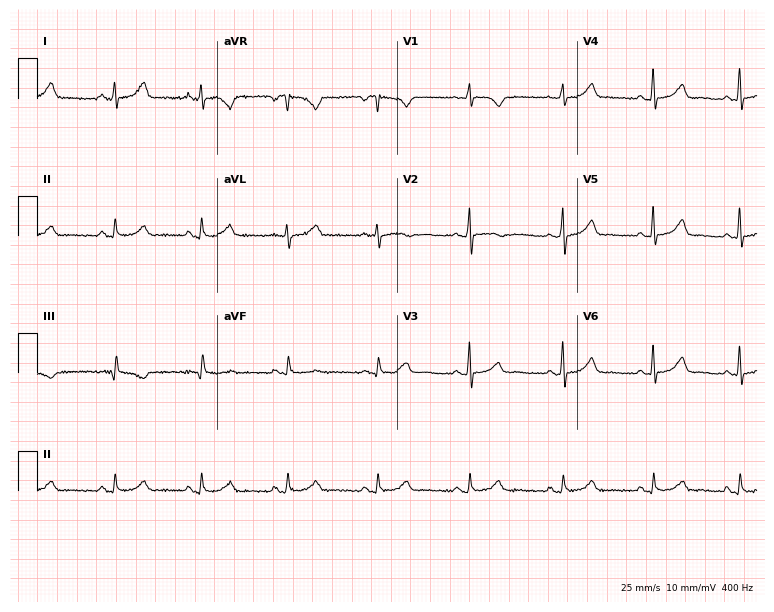
12-lead ECG from a 55-year-old female patient. Recorded interpretation: within normal limits.